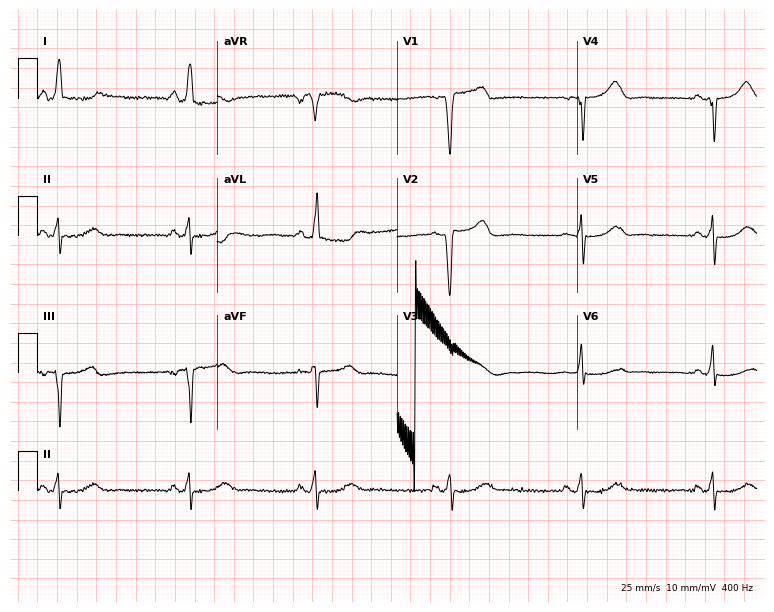
Standard 12-lead ECG recorded from a 44-year-old woman (7.3-second recording at 400 Hz). None of these six findings is recorded: first-degree AV block, right bundle branch block (RBBB), left bundle branch block (LBBB), sinus bradycardia, atrial fibrillation (AF), sinus tachycardia.